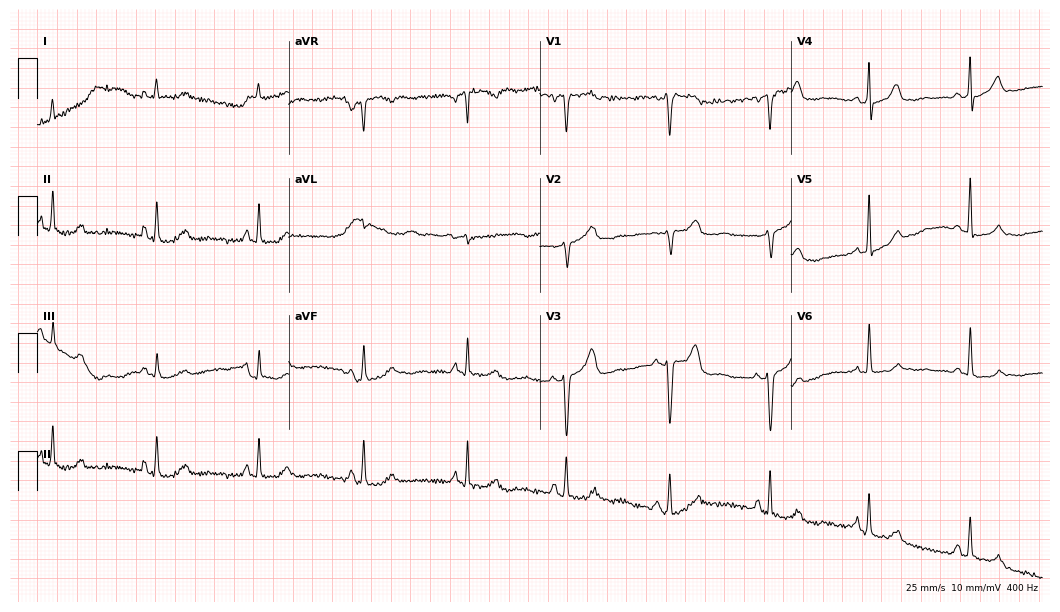
Electrocardiogram (10.2-second recording at 400 Hz), a female, 53 years old. Of the six screened findings (first-degree AV block, right bundle branch block, left bundle branch block, sinus bradycardia, atrial fibrillation, sinus tachycardia), none is recorded. Only these six findings were labelled.